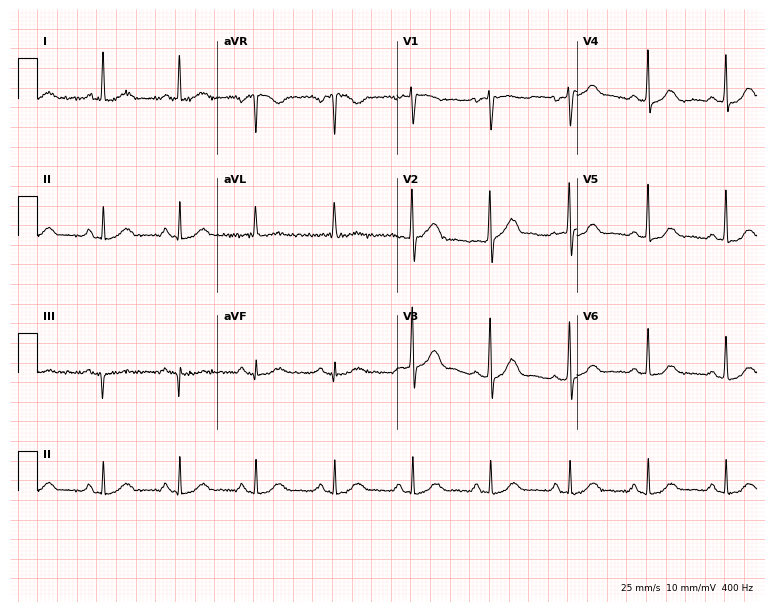
12-lead ECG from a woman, 65 years old. No first-degree AV block, right bundle branch block, left bundle branch block, sinus bradycardia, atrial fibrillation or sinus tachycardia recorded for this tracing.